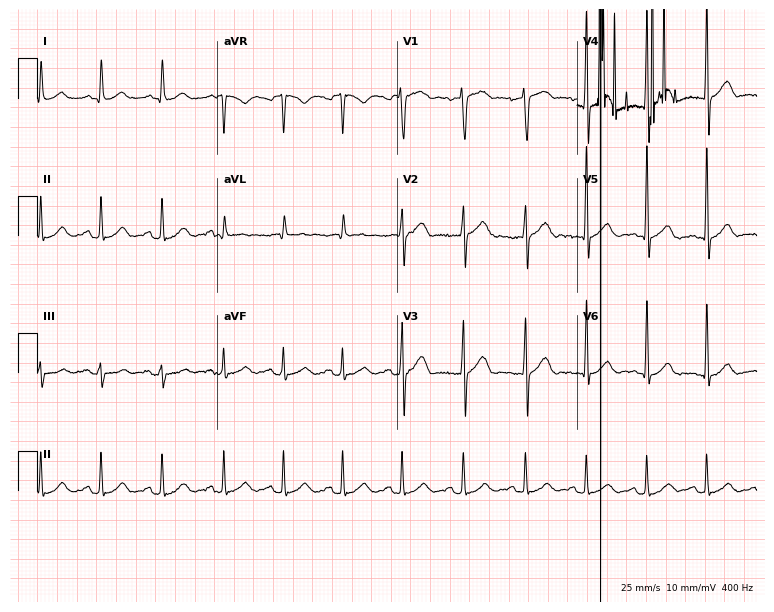
ECG — a man, 46 years old. Labelled as a normal ECG.